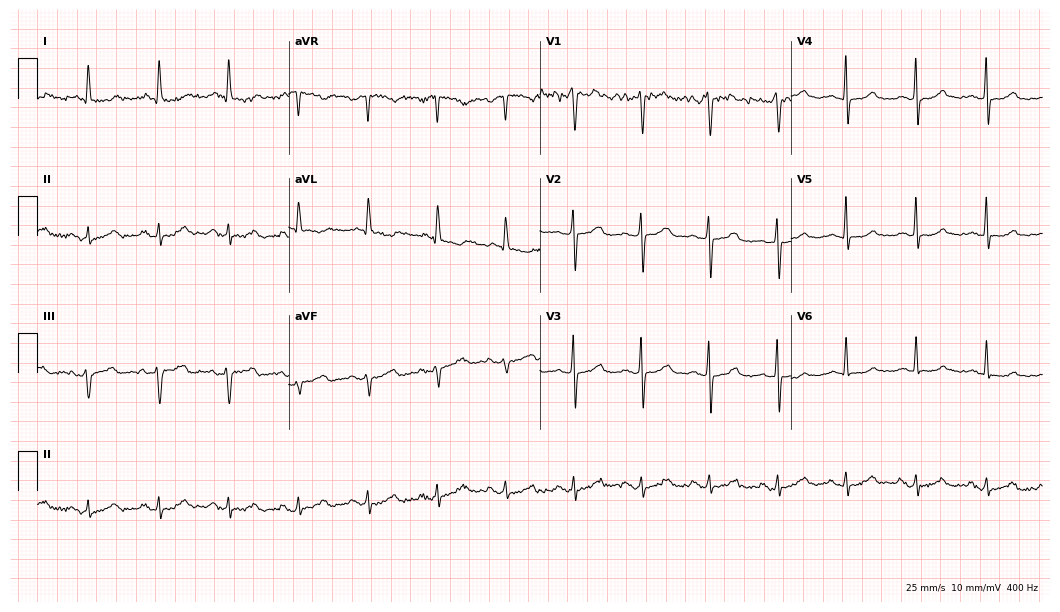
12-lead ECG (10.2-second recording at 400 Hz) from a 56-year-old woman. Labelled as a normal ECG.